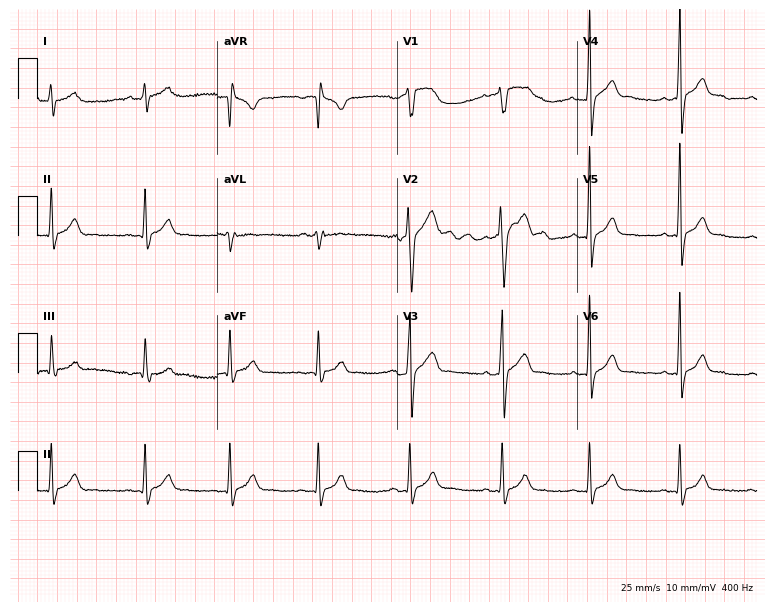
12-lead ECG from a 33-year-old male patient (7.3-second recording at 400 Hz). Recorded interpretation: within normal limits.